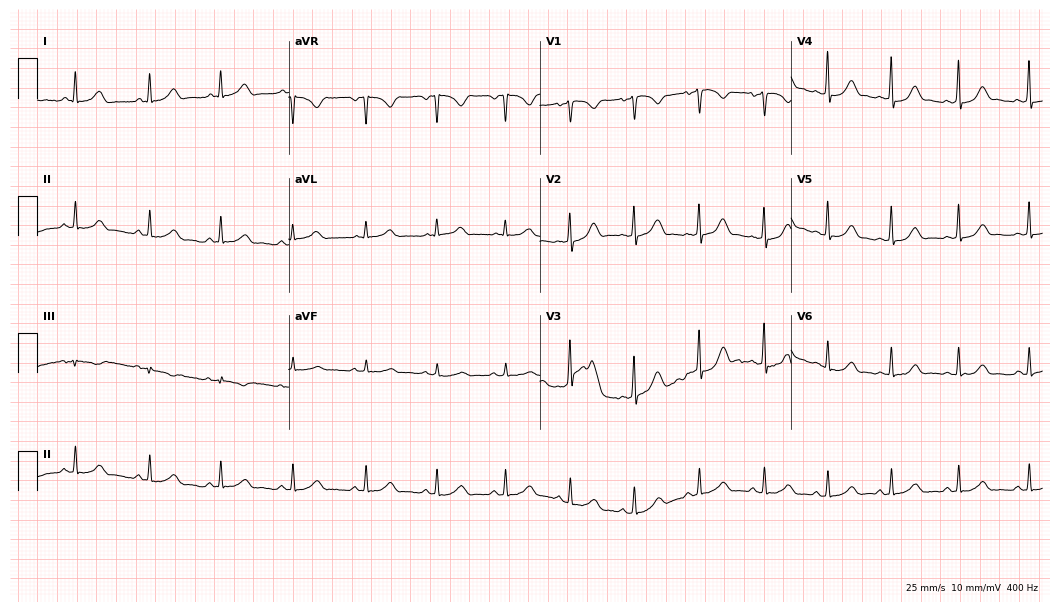
12-lead ECG from a 30-year-old woman. Recorded interpretation: within normal limits.